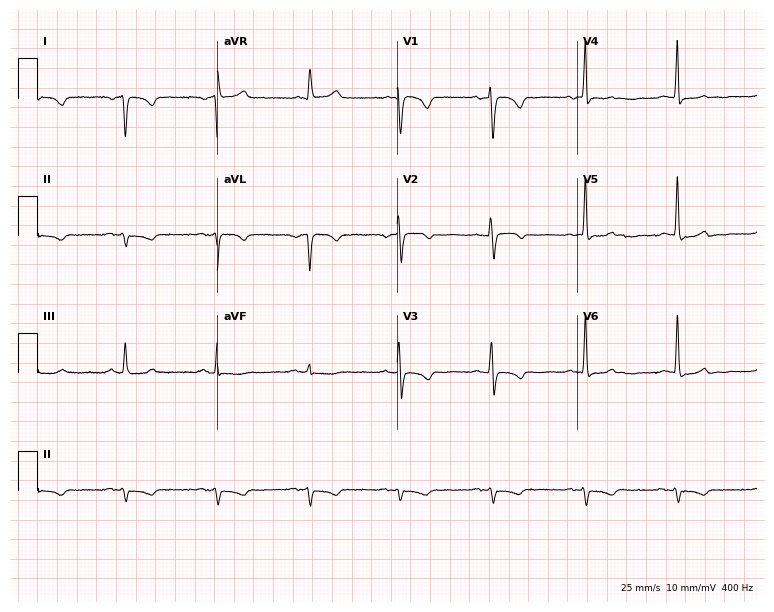
Electrocardiogram, a 67-year-old female patient. Of the six screened findings (first-degree AV block, right bundle branch block (RBBB), left bundle branch block (LBBB), sinus bradycardia, atrial fibrillation (AF), sinus tachycardia), none is recorded.